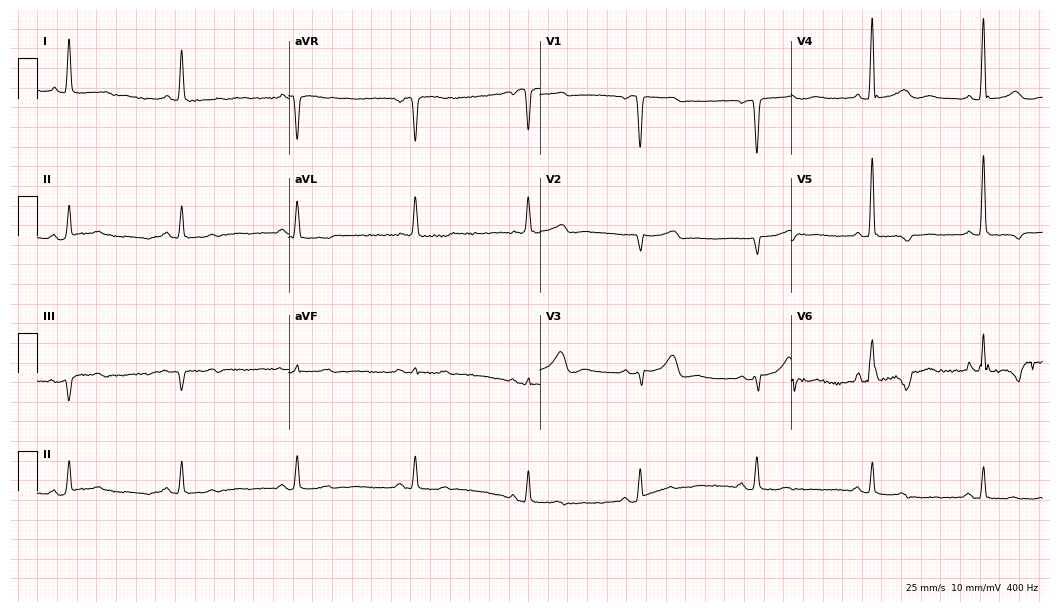
Electrocardiogram (10.2-second recording at 400 Hz), a female, 80 years old. Of the six screened findings (first-degree AV block, right bundle branch block (RBBB), left bundle branch block (LBBB), sinus bradycardia, atrial fibrillation (AF), sinus tachycardia), none is recorded. Other findings, if any, are not listed.